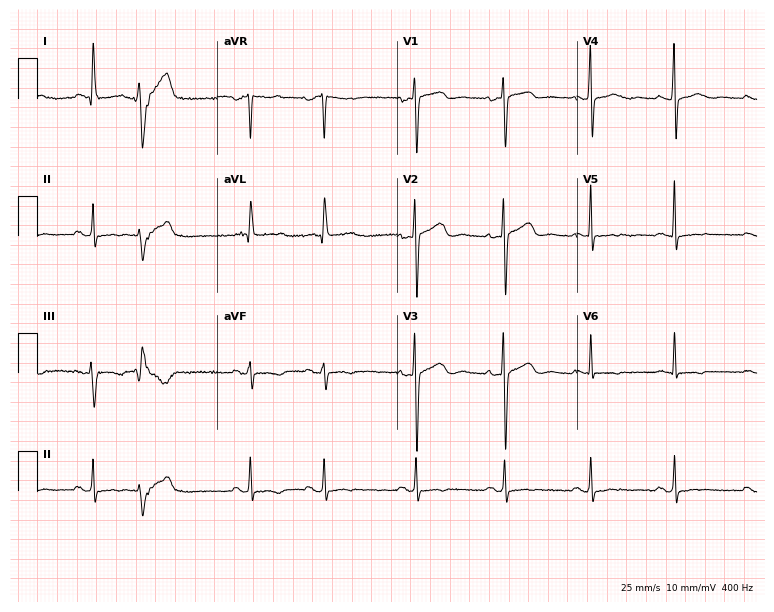
12-lead ECG from a 69-year-old woman. No first-degree AV block, right bundle branch block, left bundle branch block, sinus bradycardia, atrial fibrillation or sinus tachycardia recorded for this tracing.